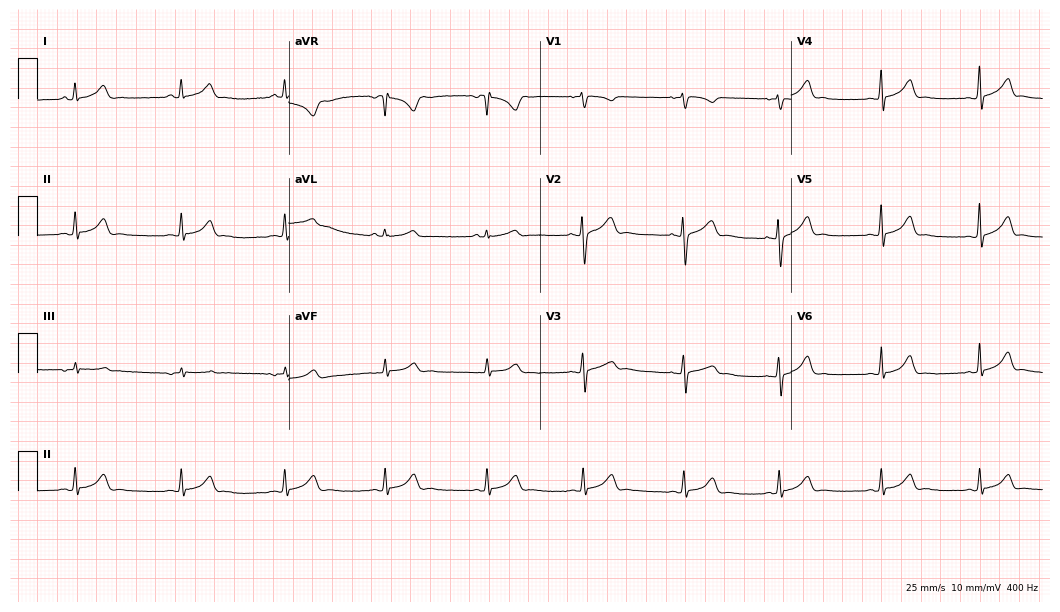
12-lead ECG from a woman, 21 years old. Labelled as a normal ECG.